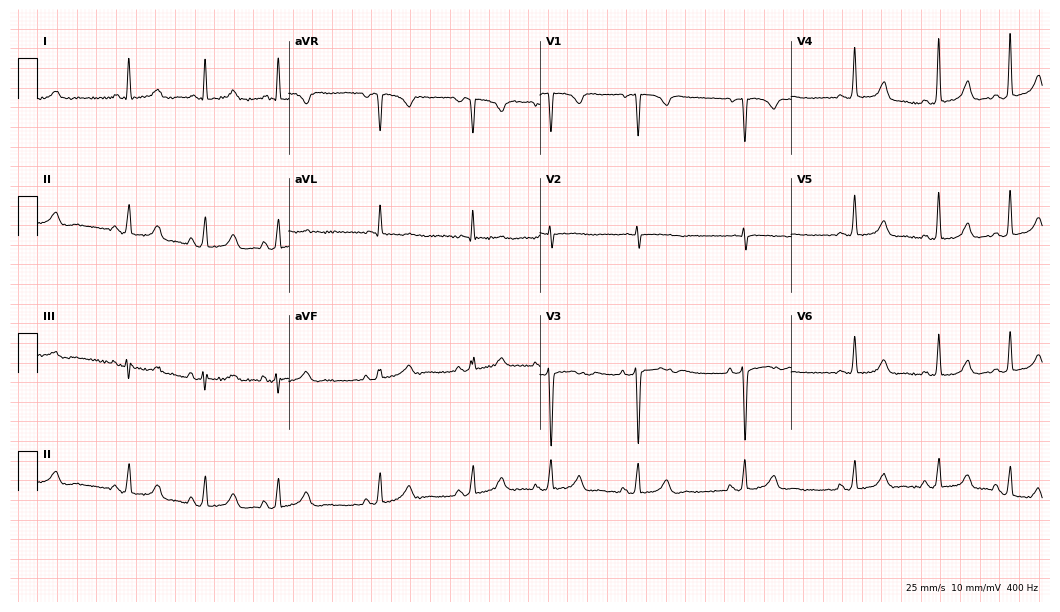
Electrocardiogram, a 32-year-old woman. Overall reading on record: normal ECG.